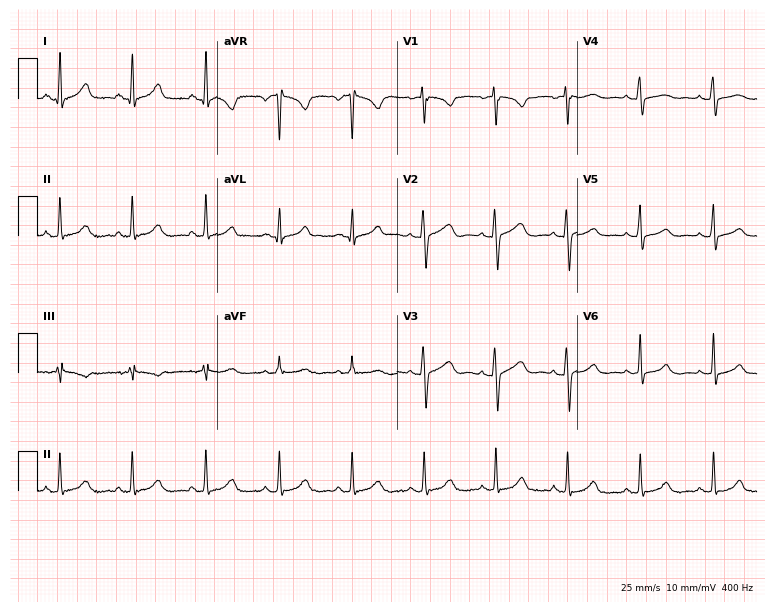
Standard 12-lead ECG recorded from a female patient, 26 years old. Read as a normal ECG.